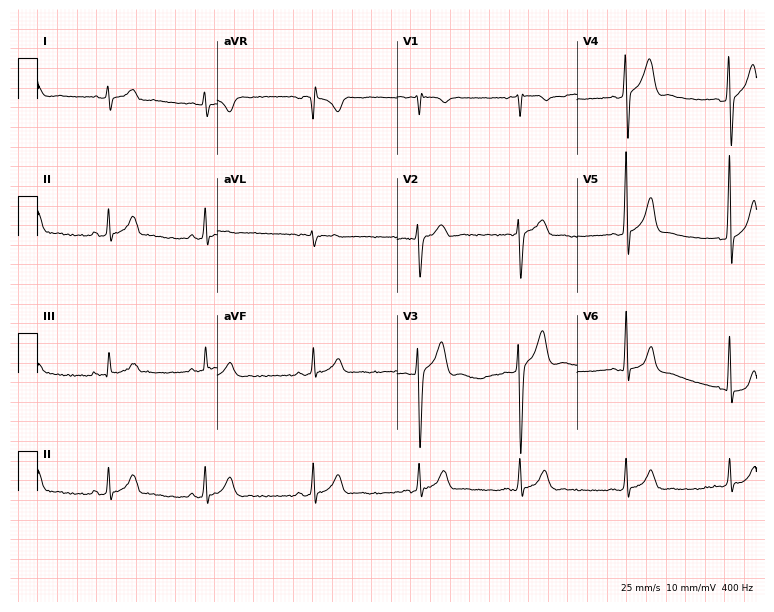
12-lead ECG from a man, 20 years old (7.3-second recording at 400 Hz). No first-degree AV block, right bundle branch block (RBBB), left bundle branch block (LBBB), sinus bradycardia, atrial fibrillation (AF) or sinus tachycardia recorded for this tracing. Other findings, if any, are not listed.